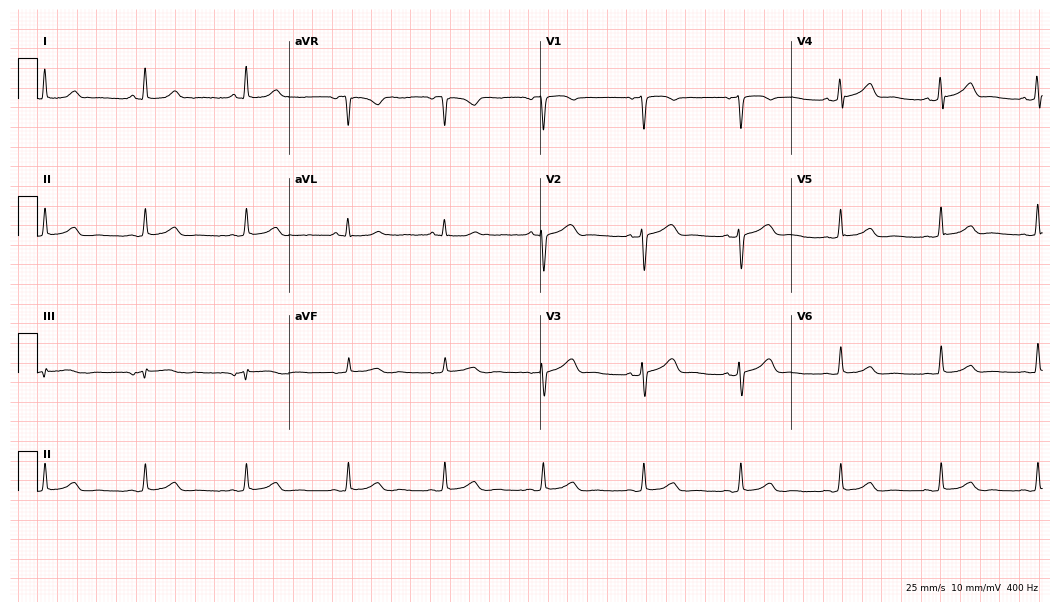
ECG — a female, 53 years old. Labelled as a normal ECG.